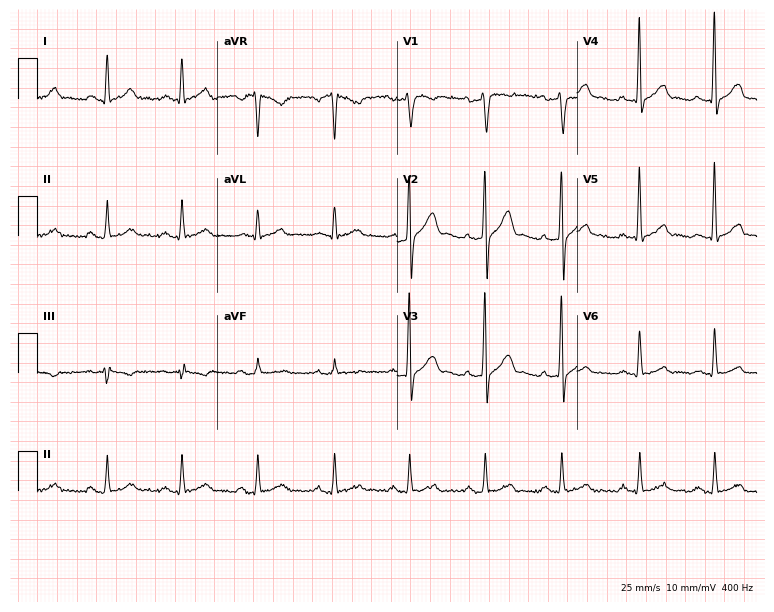
ECG — a 41-year-old man. Screened for six findings — first-degree AV block, right bundle branch block, left bundle branch block, sinus bradycardia, atrial fibrillation, sinus tachycardia — none is recorded.